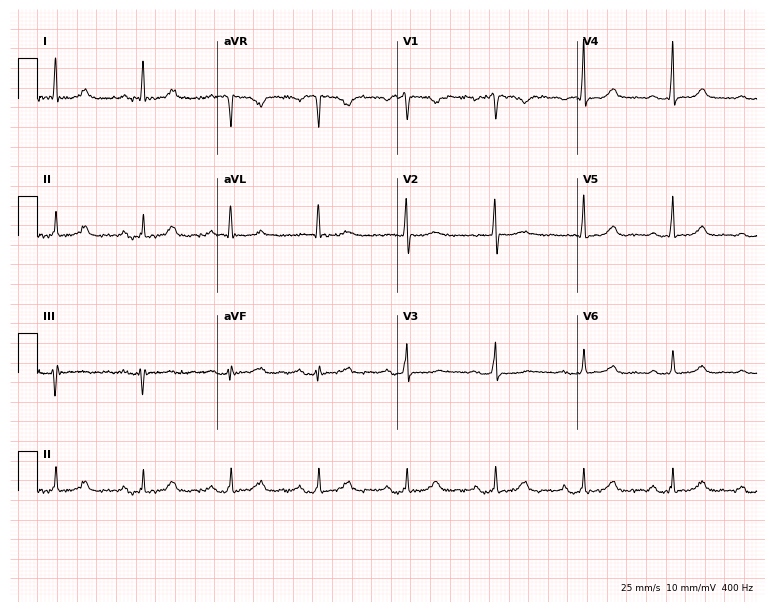
Resting 12-lead electrocardiogram (7.3-second recording at 400 Hz). Patient: a female, 63 years old. The tracing shows first-degree AV block.